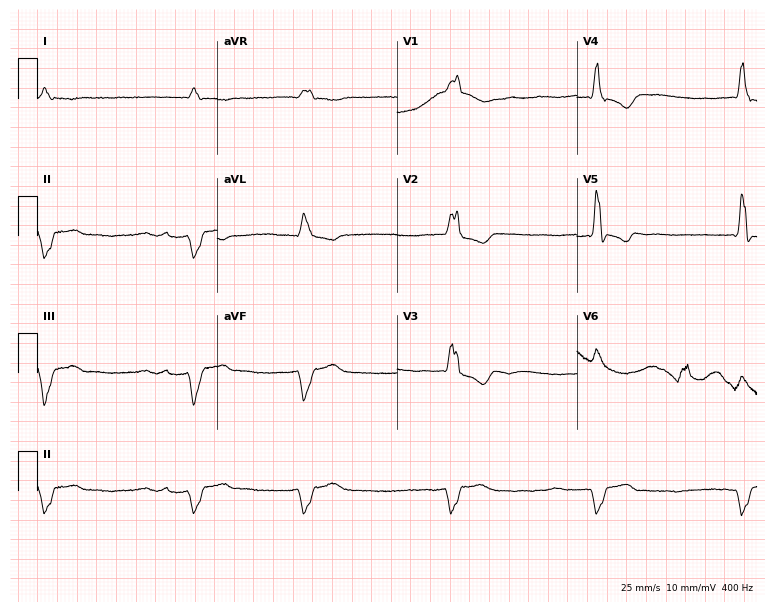
ECG (7.3-second recording at 400 Hz) — a 72-year-old male patient. Findings include right bundle branch block (RBBB), atrial fibrillation (AF).